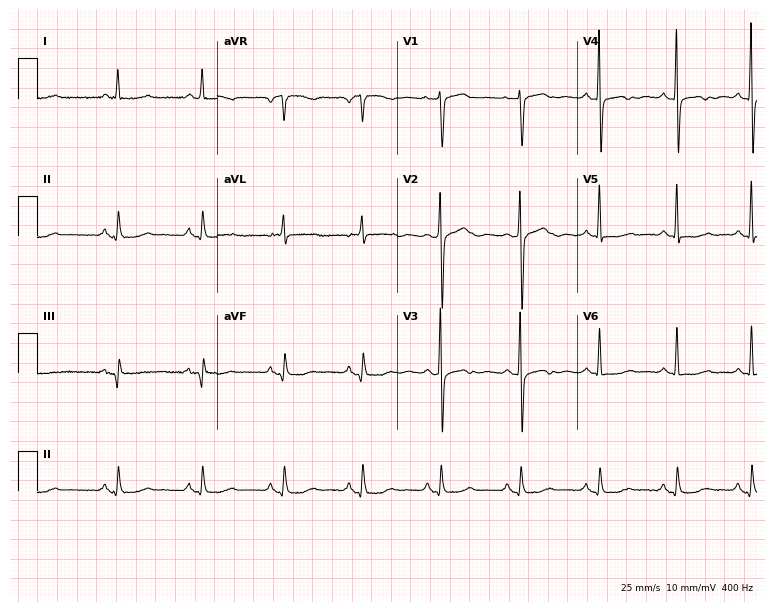
12-lead ECG from a 73-year-old female. No first-degree AV block, right bundle branch block, left bundle branch block, sinus bradycardia, atrial fibrillation or sinus tachycardia recorded for this tracing.